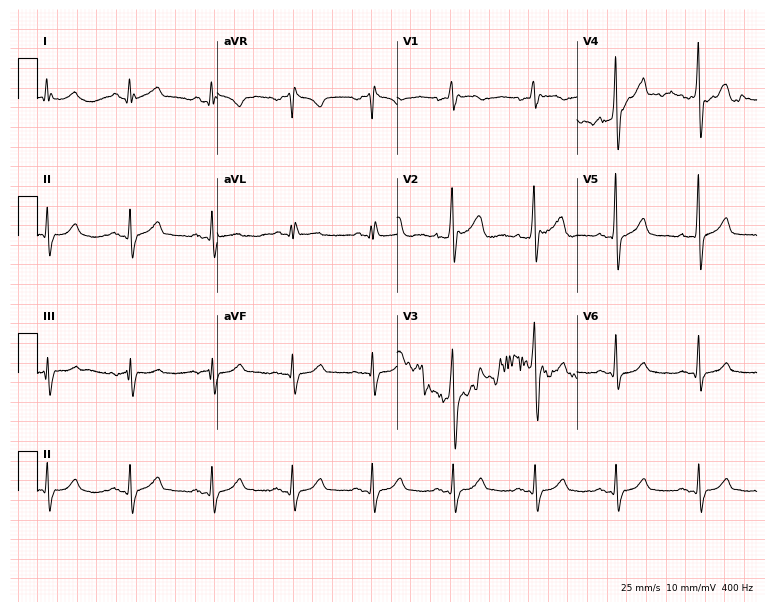
Standard 12-lead ECG recorded from a male, 47 years old (7.3-second recording at 400 Hz). None of these six findings is recorded: first-degree AV block, right bundle branch block, left bundle branch block, sinus bradycardia, atrial fibrillation, sinus tachycardia. Other findings, if any, are not listed.